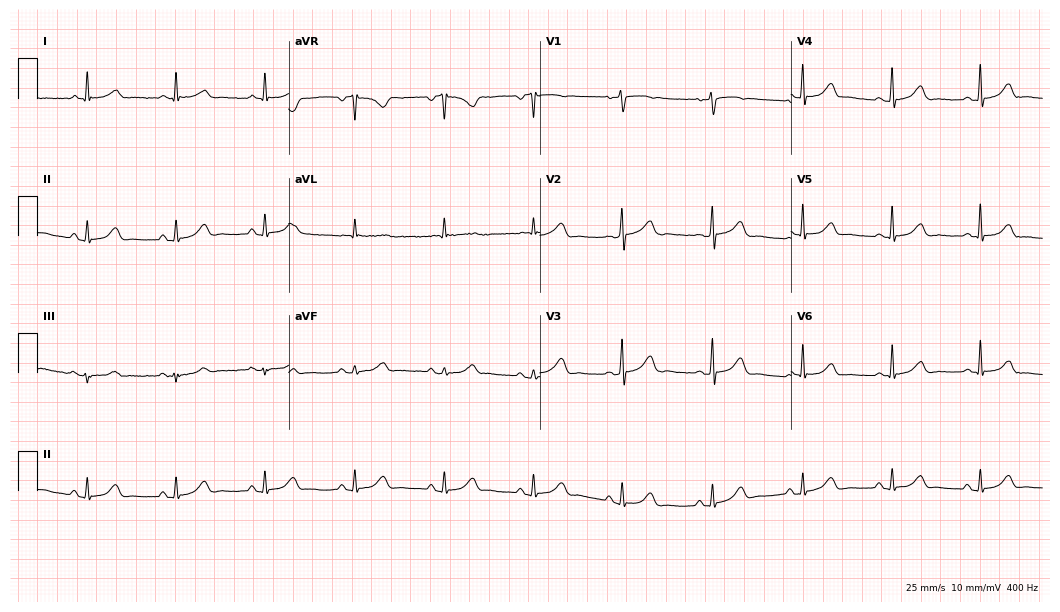
ECG — a female patient, 73 years old. Labelled as a normal ECG.